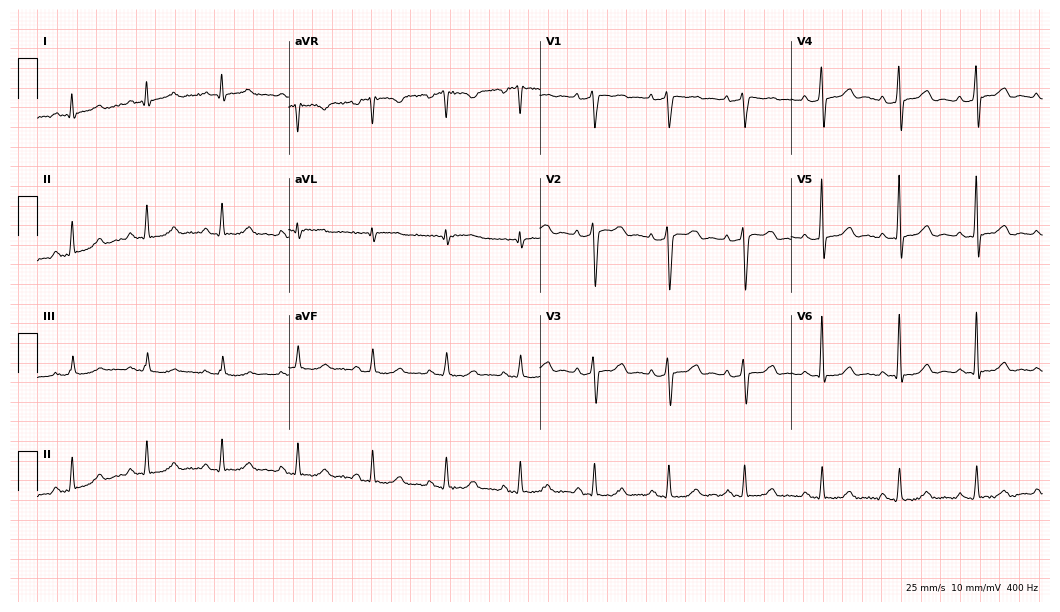
ECG (10.2-second recording at 400 Hz) — a male, 56 years old. Screened for six findings — first-degree AV block, right bundle branch block (RBBB), left bundle branch block (LBBB), sinus bradycardia, atrial fibrillation (AF), sinus tachycardia — none is recorded.